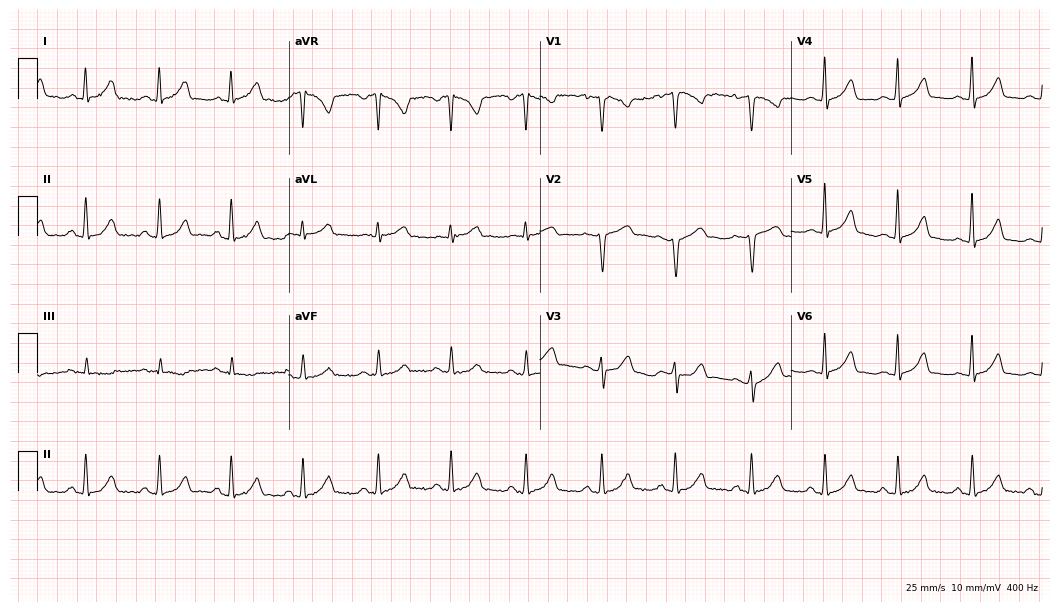
Electrocardiogram, a woman, 32 years old. Overall reading on record: normal ECG.